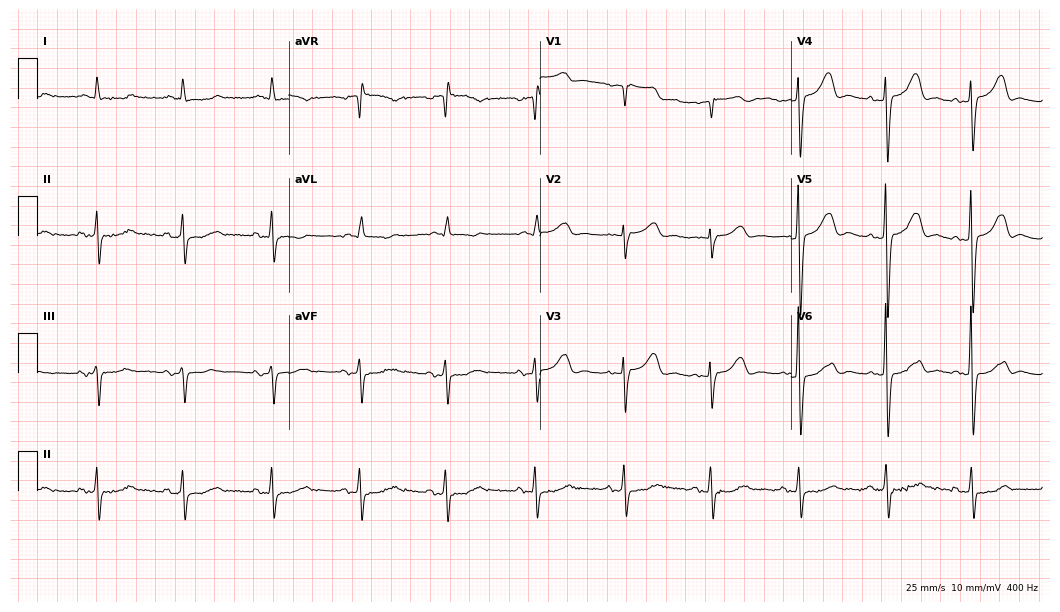
12-lead ECG (10.2-second recording at 400 Hz) from an 81-year-old female. Screened for six findings — first-degree AV block, right bundle branch block, left bundle branch block, sinus bradycardia, atrial fibrillation, sinus tachycardia — none is recorded.